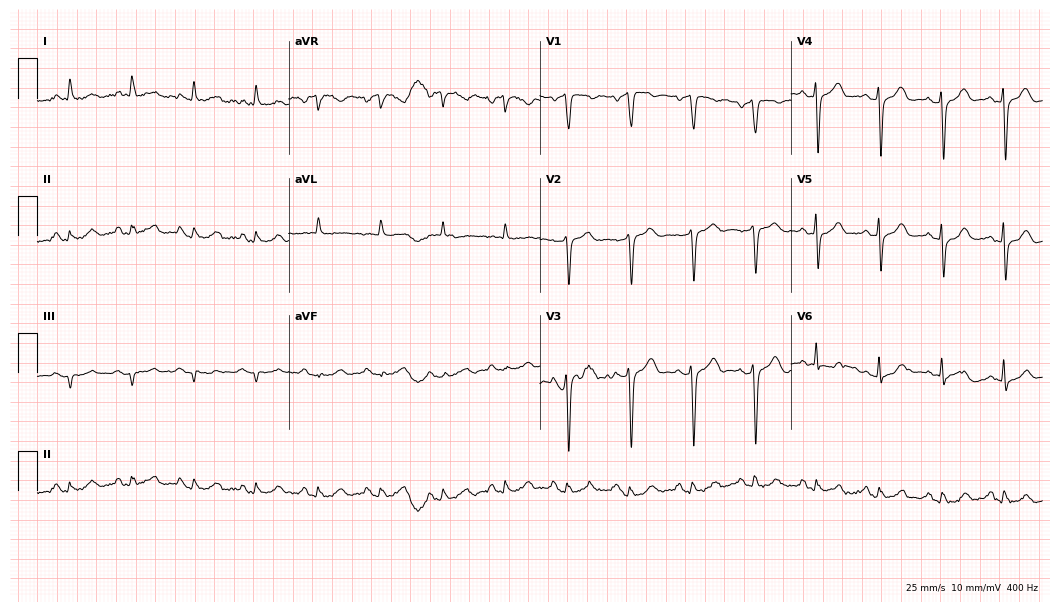
Electrocardiogram, a 65-year-old male patient. Of the six screened findings (first-degree AV block, right bundle branch block (RBBB), left bundle branch block (LBBB), sinus bradycardia, atrial fibrillation (AF), sinus tachycardia), none is recorded. Only these six findings were labelled.